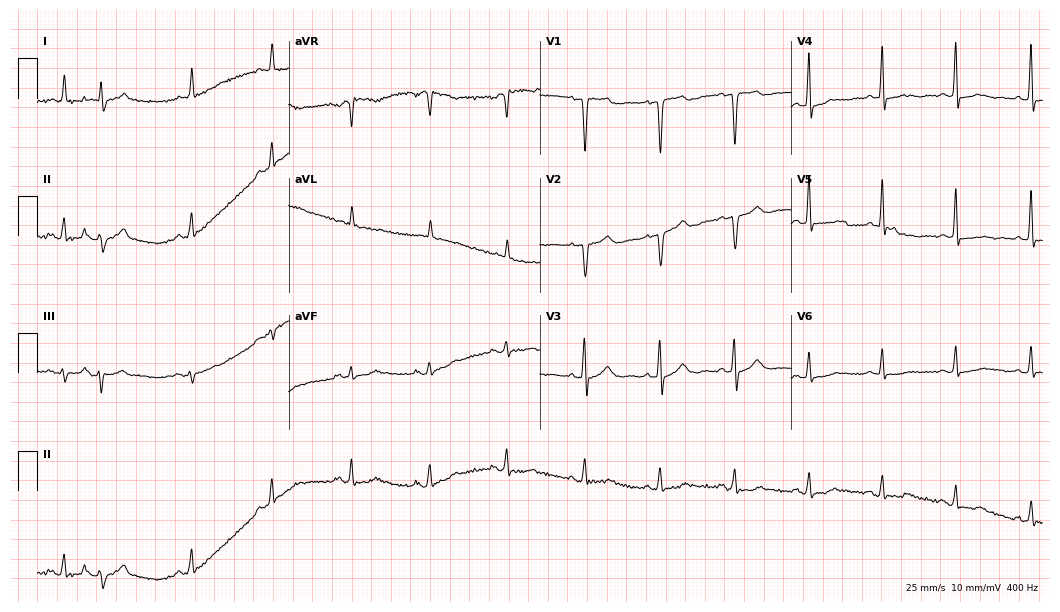
12-lead ECG from a woman, 64 years old (10.2-second recording at 400 Hz). No first-degree AV block, right bundle branch block, left bundle branch block, sinus bradycardia, atrial fibrillation or sinus tachycardia recorded for this tracing. Findings outside these six are not listed.